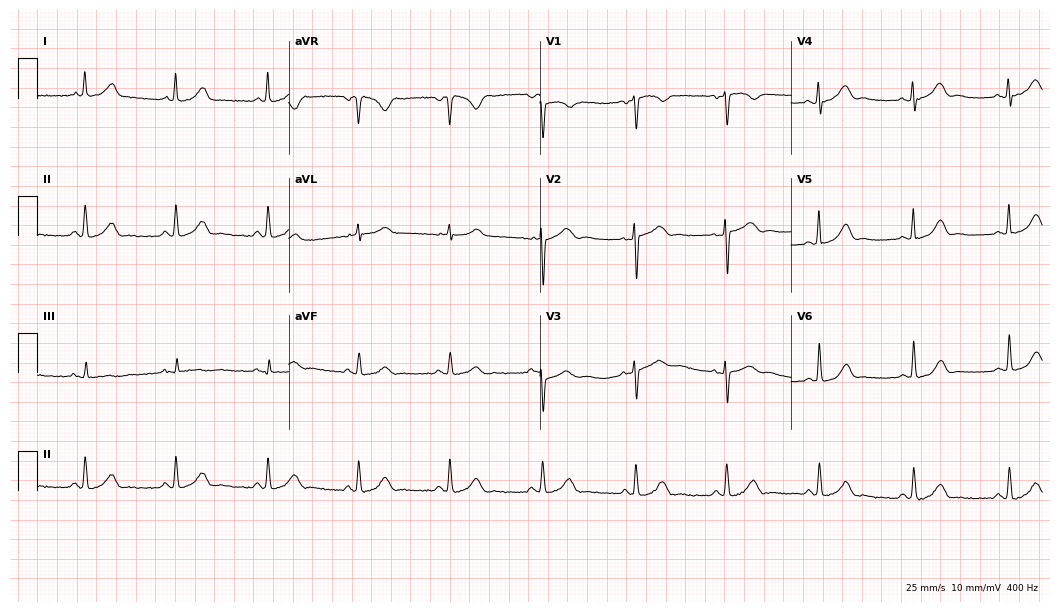
12-lead ECG from a female, 34 years old. Labelled as a normal ECG.